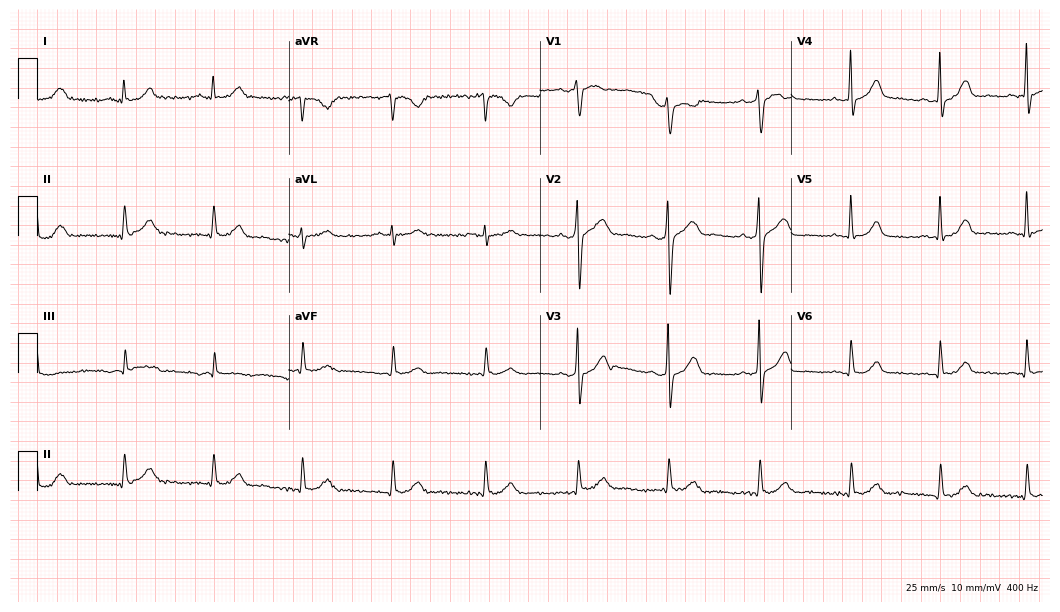
Standard 12-lead ECG recorded from a 43-year-old male. Read as a normal ECG.